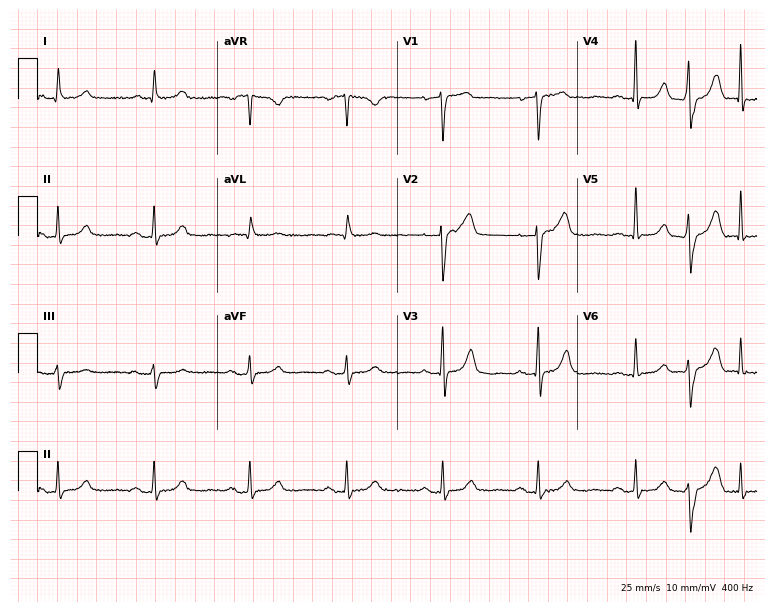
ECG — a woman, 74 years old. Labelled as a normal ECG.